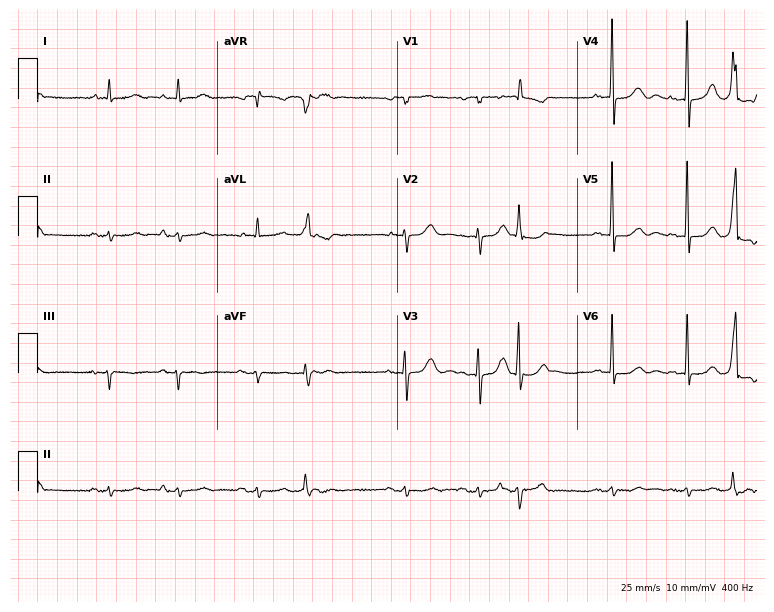
Standard 12-lead ECG recorded from a male patient, 87 years old. None of these six findings is recorded: first-degree AV block, right bundle branch block, left bundle branch block, sinus bradycardia, atrial fibrillation, sinus tachycardia. Other findings, if any, are not listed.